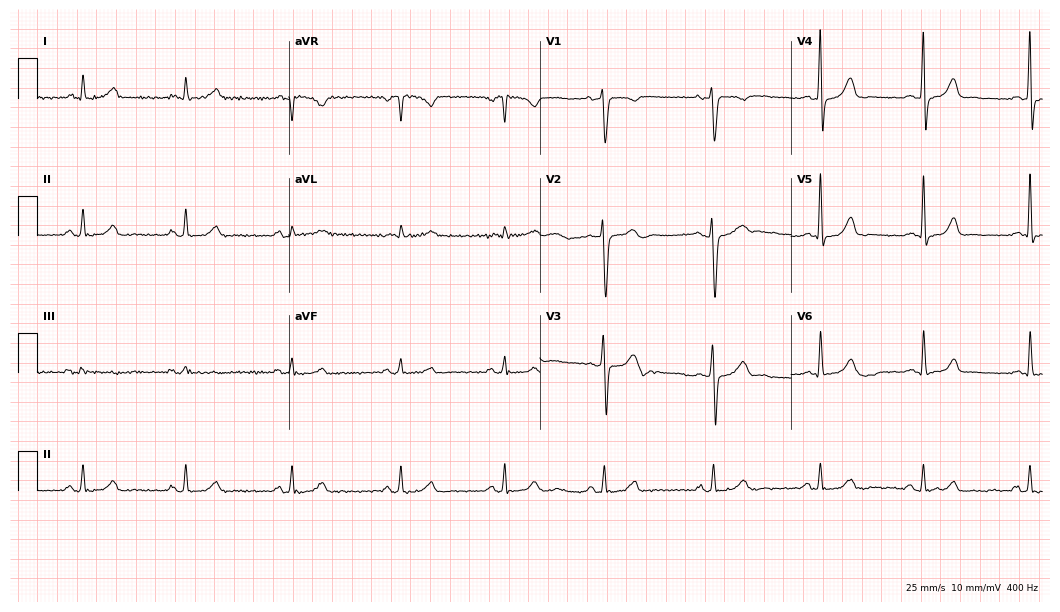
Electrocardiogram, a male, 56 years old. Overall reading on record: normal ECG.